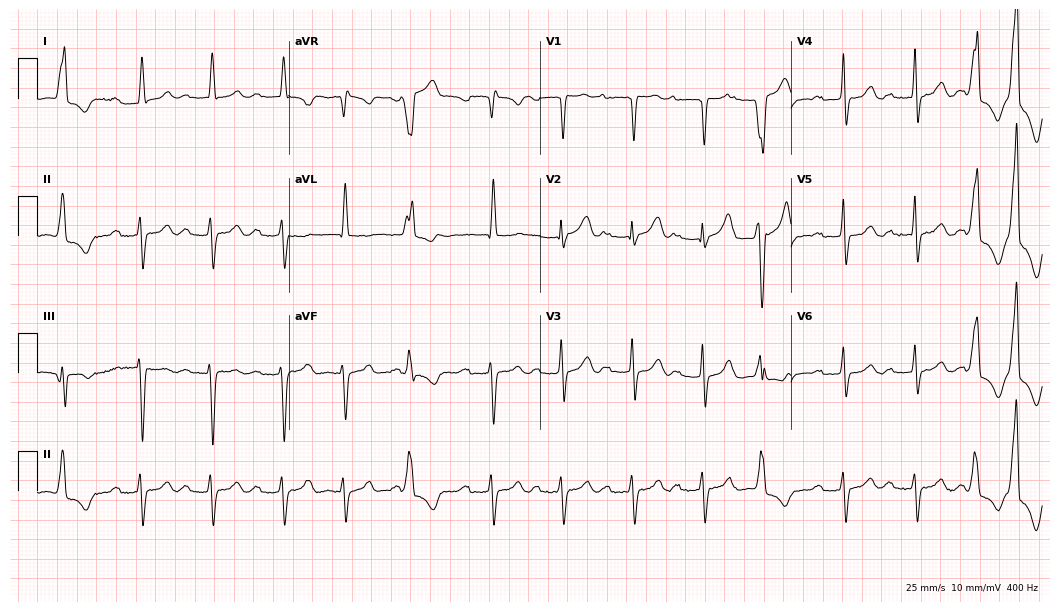
Electrocardiogram, an 81-year-old male. Interpretation includes first-degree AV block.